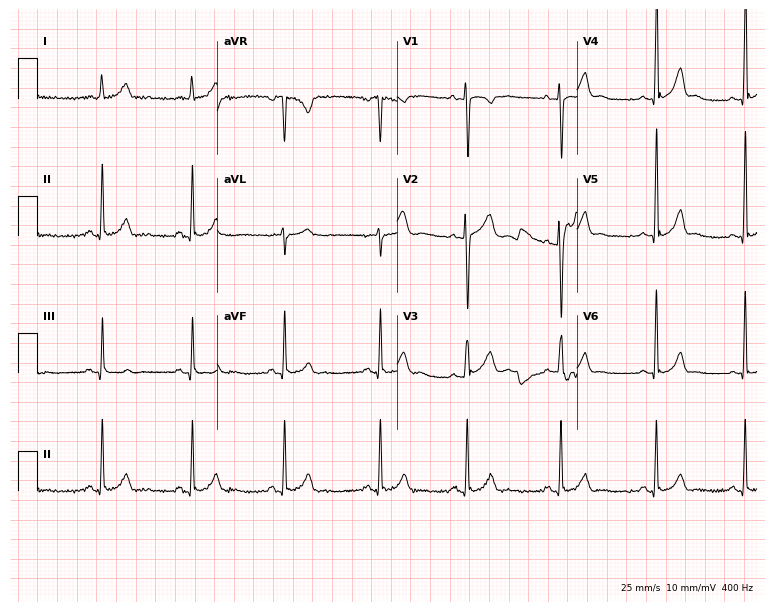
Standard 12-lead ECG recorded from a woman, 18 years old (7.3-second recording at 400 Hz). None of these six findings is recorded: first-degree AV block, right bundle branch block, left bundle branch block, sinus bradycardia, atrial fibrillation, sinus tachycardia. Only these six findings were labelled.